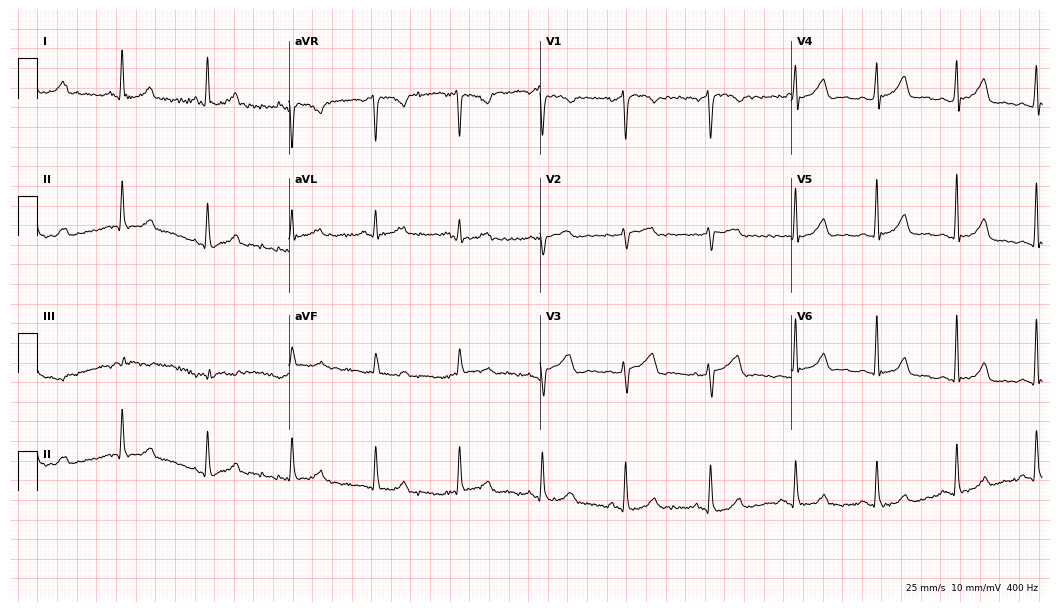
Resting 12-lead electrocardiogram. Patient: a 49-year-old woman. Read as a normal ECG.